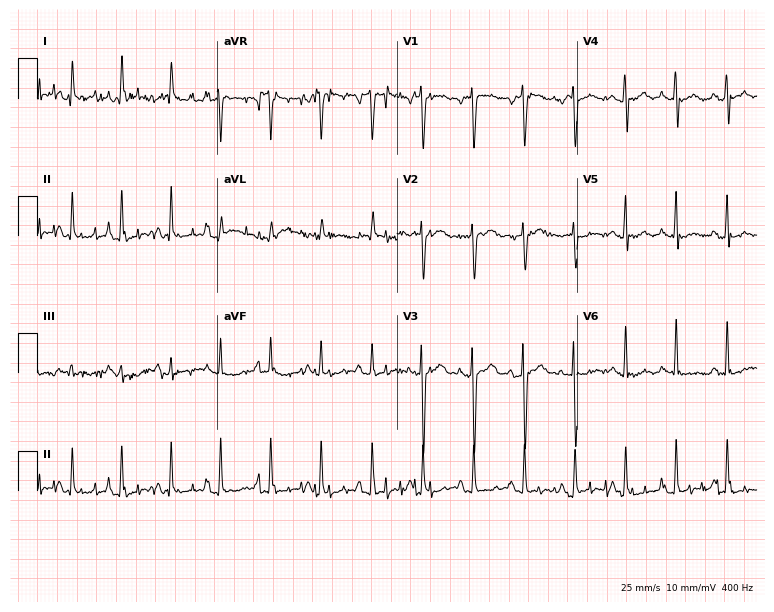
Electrocardiogram, a female patient, 38 years old. Of the six screened findings (first-degree AV block, right bundle branch block, left bundle branch block, sinus bradycardia, atrial fibrillation, sinus tachycardia), none is recorded.